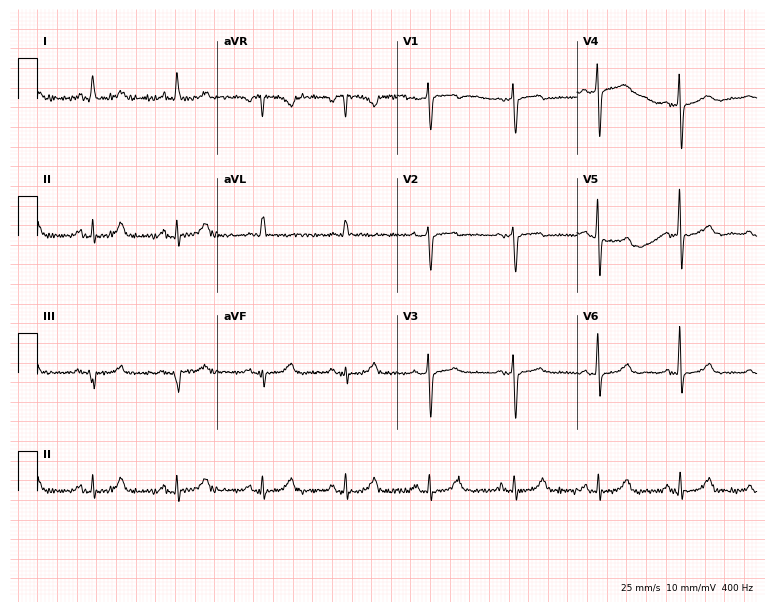
ECG (7.3-second recording at 400 Hz) — a woman, 59 years old. Labelled as a normal ECG.